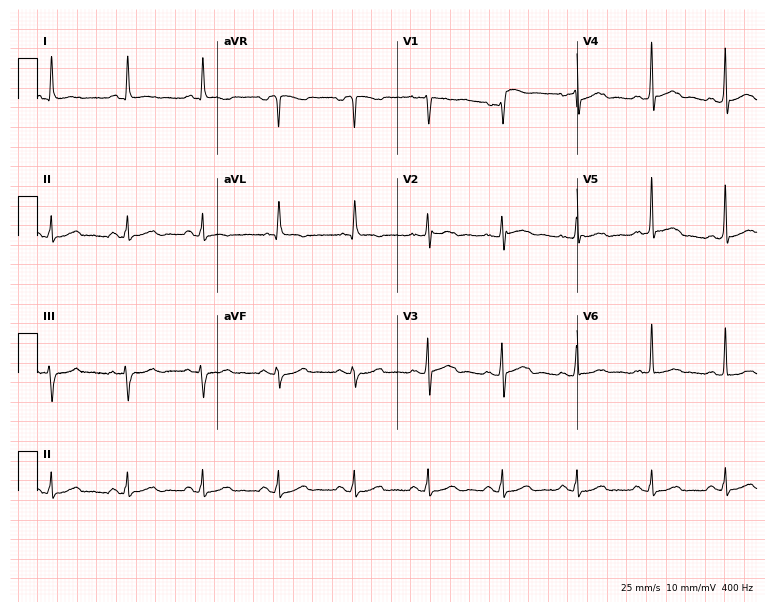
Standard 12-lead ECG recorded from a female, 49 years old (7.3-second recording at 400 Hz). Read as a normal ECG.